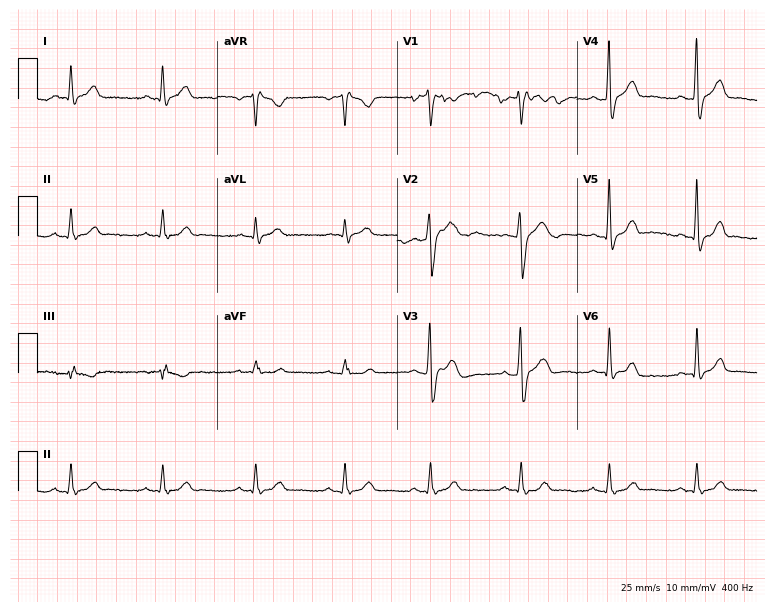
ECG (7.3-second recording at 400 Hz) — a man, 32 years old. Screened for six findings — first-degree AV block, right bundle branch block, left bundle branch block, sinus bradycardia, atrial fibrillation, sinus tachycardia — none is recorded.